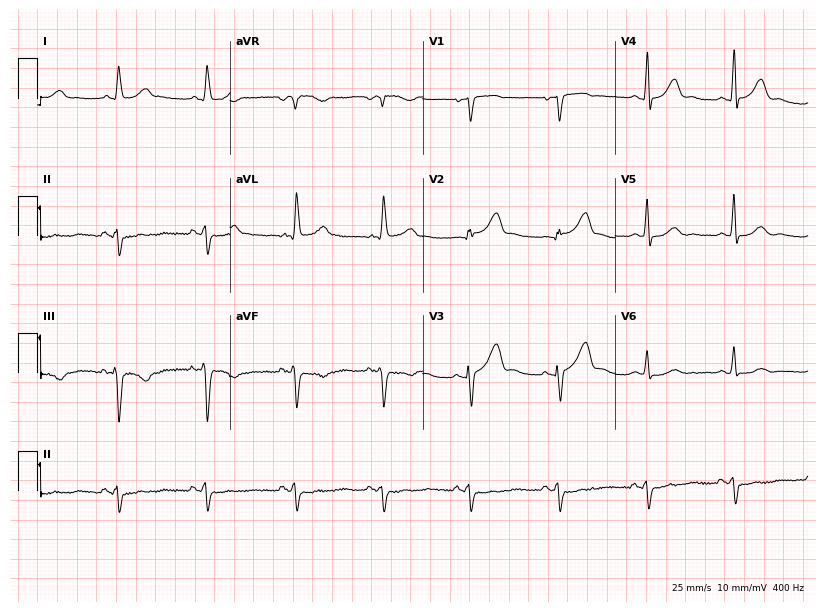
12-lead ECG from a 64-year-old female (7.9-second recording at 400 Hz). No first-degree AV block, right bundle branch block, left bundle branch block, sinus bradycardia, atrial fibrillation or sinus tachycardia recorded for this tracing.